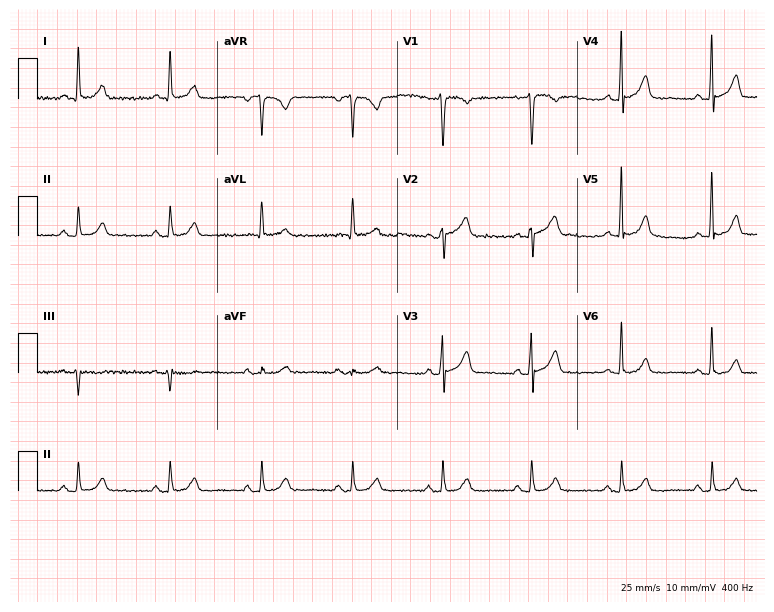
Resting 12-lead electrocardiogram. Patient: a 55-year-old female. Read as a normal ECG.